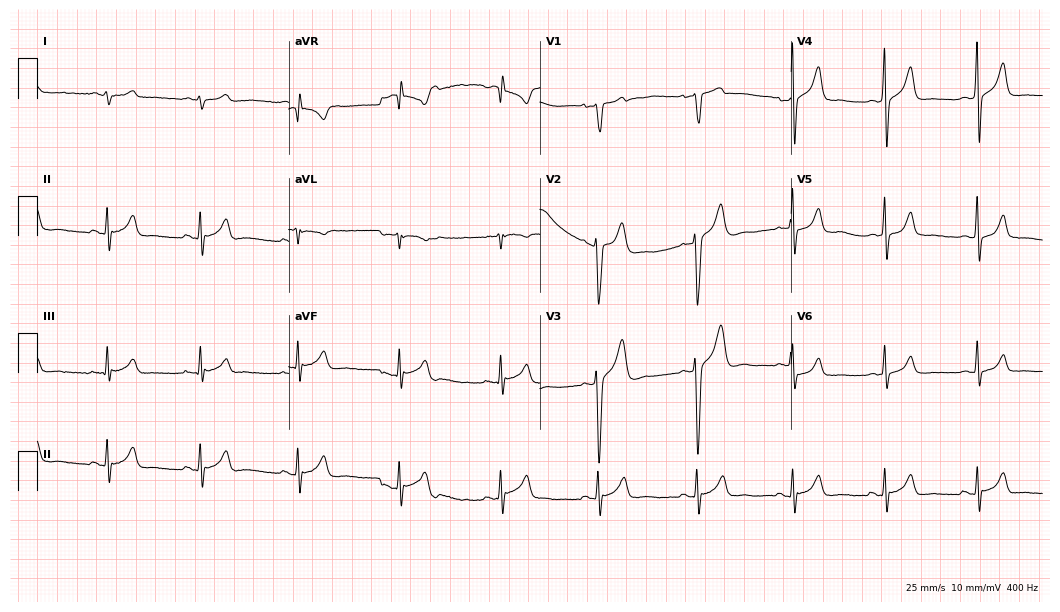
12-lead ECG (10.2-second recording at 400 Hz) from a 19-year-old male patient. Screened for six findings — first-degree AV block, right bundle branch block, left bundle branch block, sinus bradycardia, atrial fibrillation, sinus tachycardia — none is recorded. Other findings, if any, are not listed.